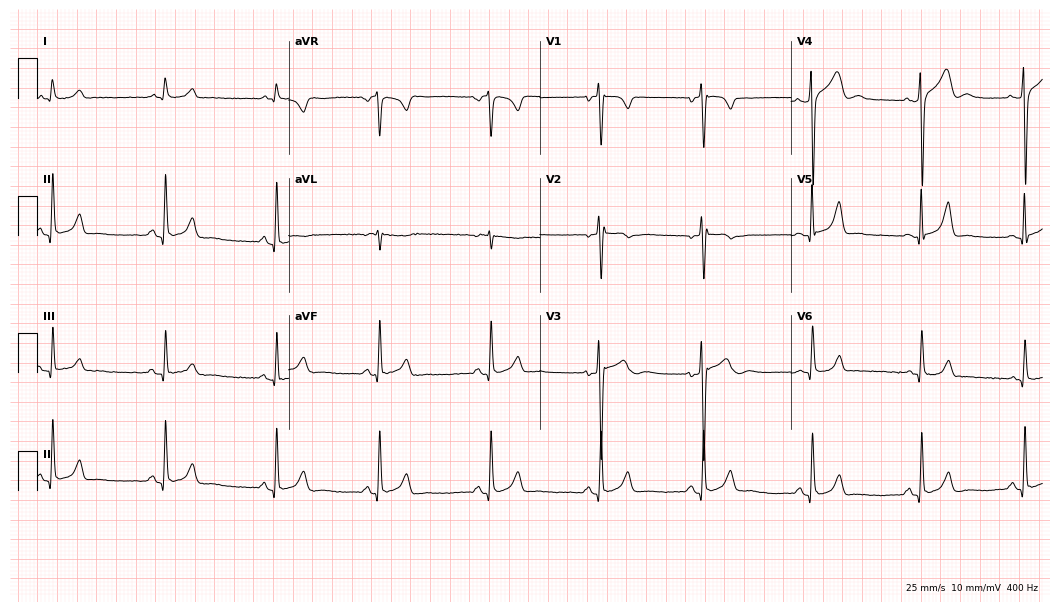
Standard 12-lead ECG recorded from a male, 36 years old. None of these six findings is recorded: first-degree AV block, right bundle branch block, left bundle branch block, sinus bradycardia, atrial fibrillation, sinus tachycardia.